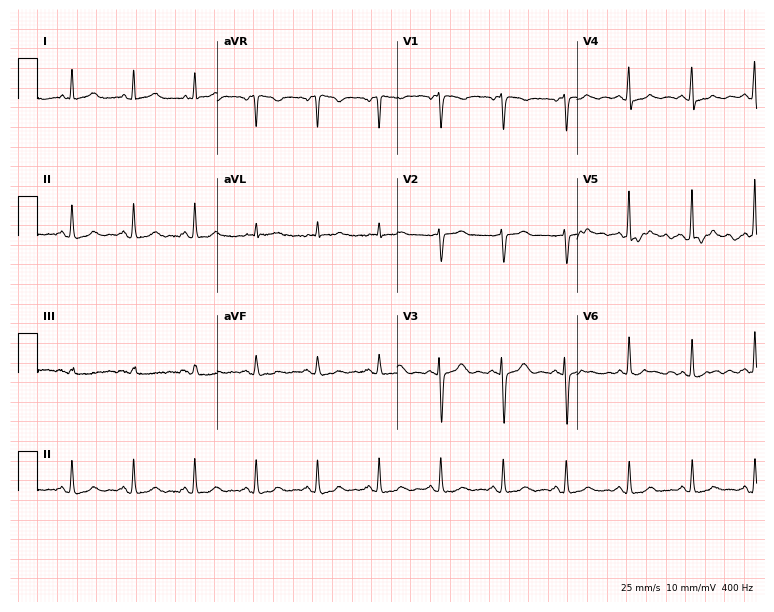
Electrocardiogram, a woman, 83 years old. Overall reading on record: normal ECG.